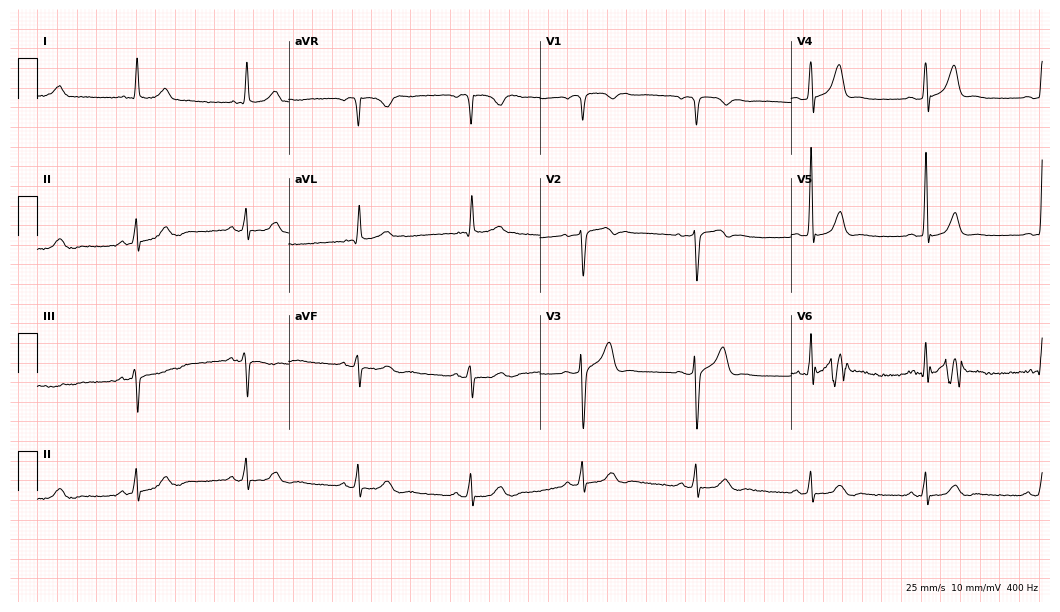
12-lead ECG from a 62-year-old male (10.2-second recording at 400 Hz). Recorded interpretation: within normal limits.